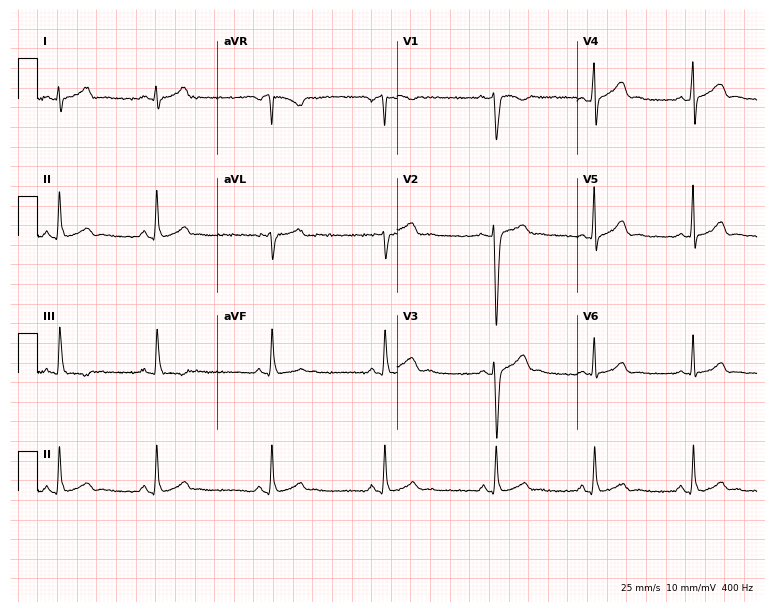
12-lead ECG from a male, 23 years old. Labelled as a normal ECG.